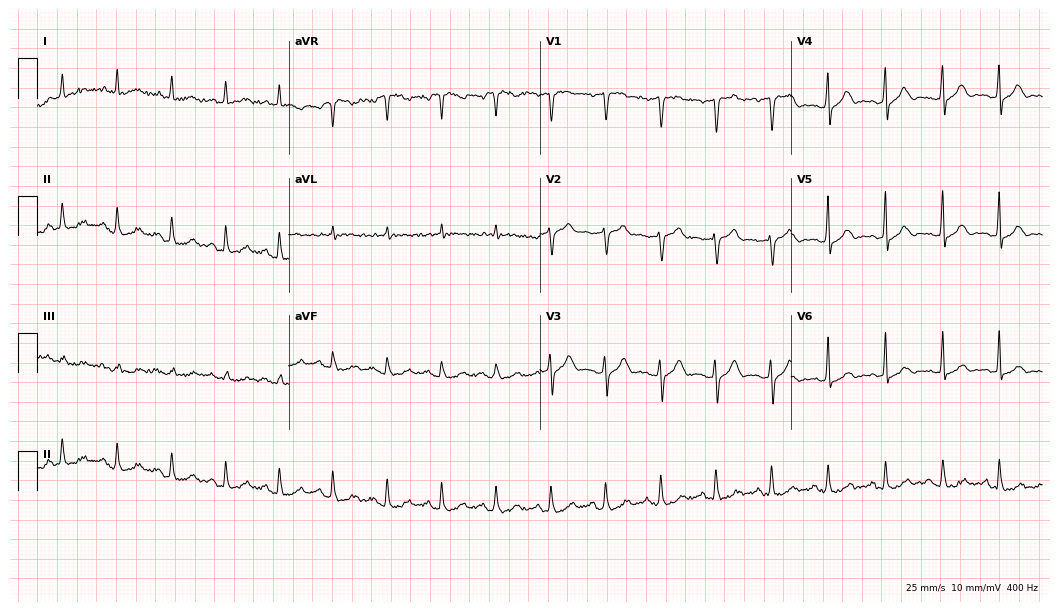
Standard 12-lead ECG recorded from a male, 66 years old. None of these six findings is recorded: first-degree AV block, right bundle branch block, left bundle branch block, sinus bradycardia, atrial fibrillation, sinus tachycardia.